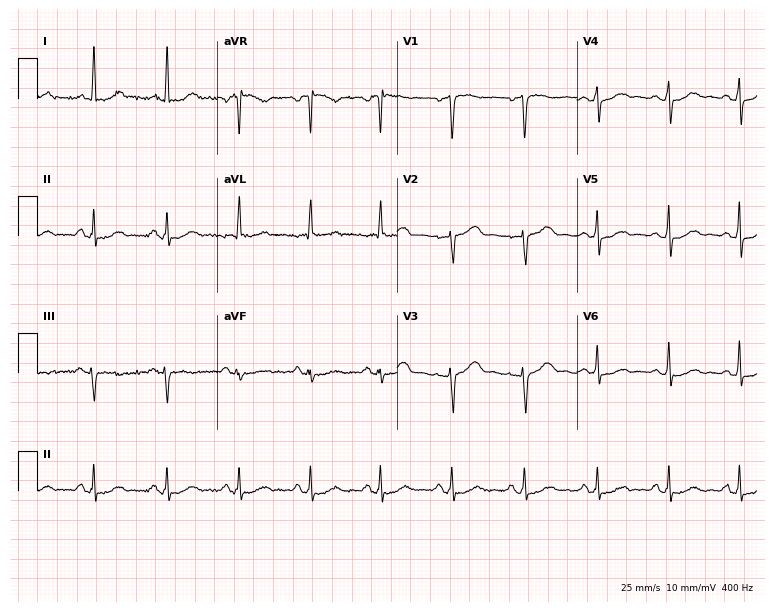
Standard 12-lead ECG recorded from a 47-year-old female (7.3-second recording at 400 Hz). None of these six findings is recorded: first-degree AV block, right bundle branch block, left bundle branch block, sinus bradycardia, atrial fibrillation, sinus tachycardia. Other findings, if any, are not listed.